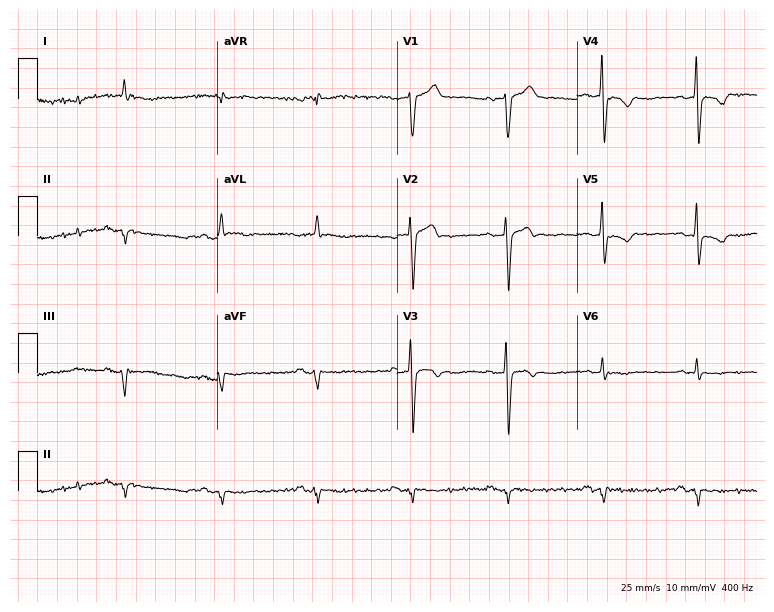
Standard 12-lead ECG recorded from a male patient, 81 years old (7.3-second recording at 400 Hz). None of these six findings is recorded: first-degree AV block, right bundle branch block, left bundle branch block, sinus bradycardia, atrial fibrillation, sinus tachycardia. Findings outside these six are not listed.